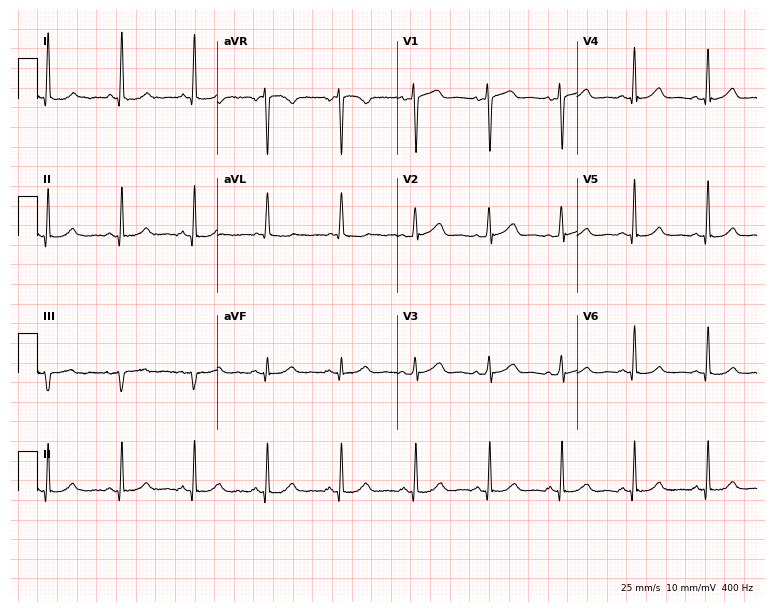
12-lead ECG from a 52-year-old female patient. Labelled as a normal ECG.